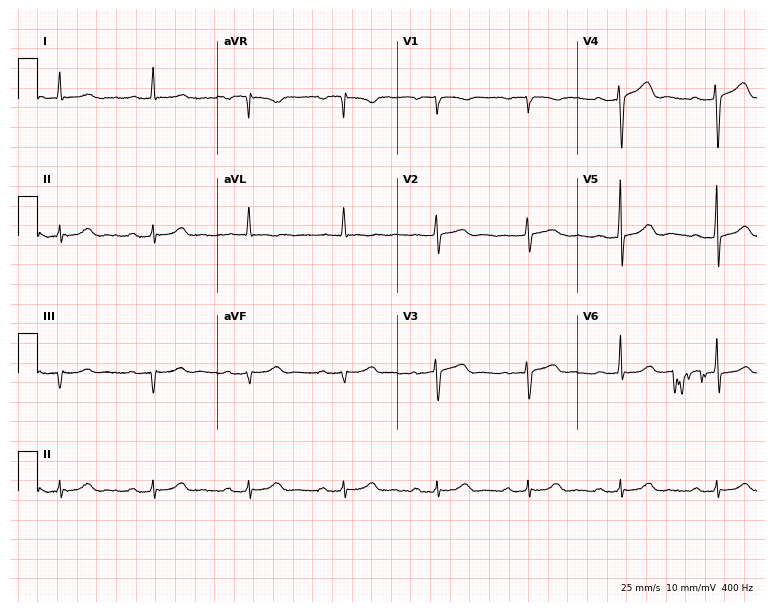
ECG (7.3-second recording at 400 Hz) — a 55-year-old female patient. Findings include first-degree AV block.